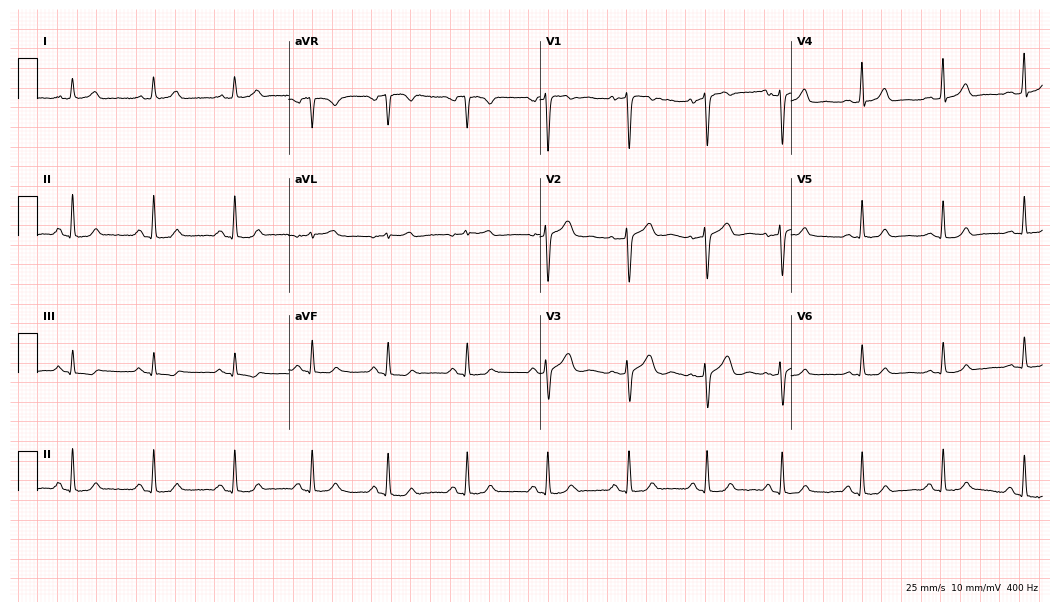
Standard 12-lead ECG recorded from a woman, 36 years old. None of these six findings is recorded: first-degree AV block, right bundle branch block, left bundle branch block, sinus bradycardia, atrial fibrillation, sinus tachycardia.